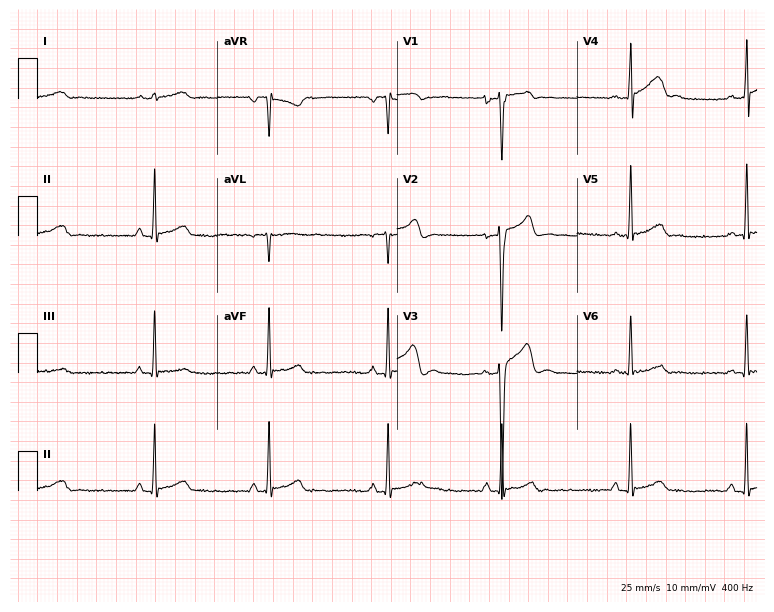
Electrocardiogram, a male patient, 20 years old. Interpretation includes sinus bradycardia (a sinus rate of 50 beats per minute or less).